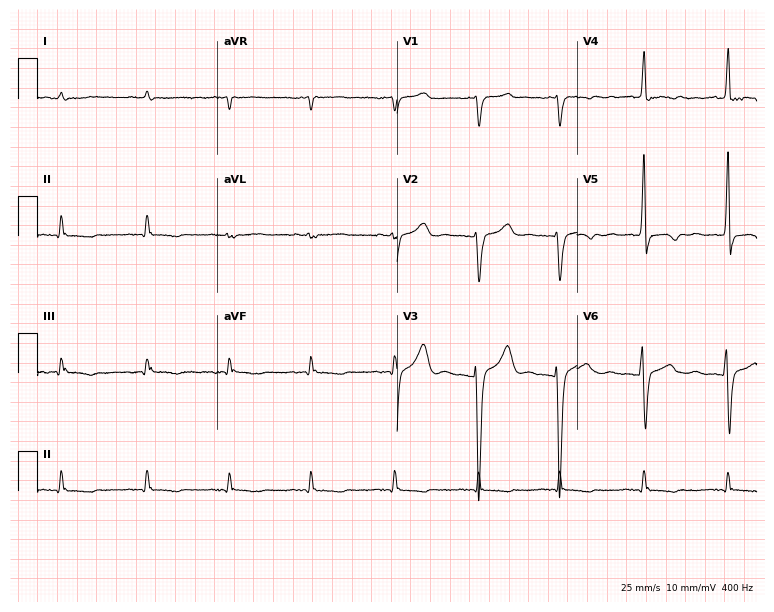
Electrocardiogram (7.3-second recording at 400 Hz), a 77-year-old male. Of the six screened findings (first-degree AV block, right bundle branch block (RBBB), left bundle branch block (LBBB), sinus bradycardia, atrial fibrillation (AF), sinus tachycardia), none is recorded. Only these six findings were labelled.